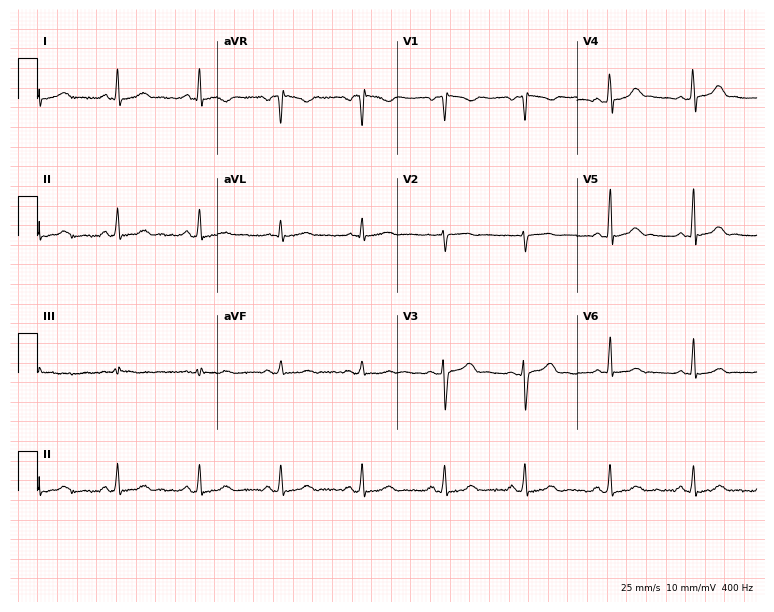
ECG (7.3-second recording at 400 Hz) — a woman, 20 years old. Labelled as a normal ECG.